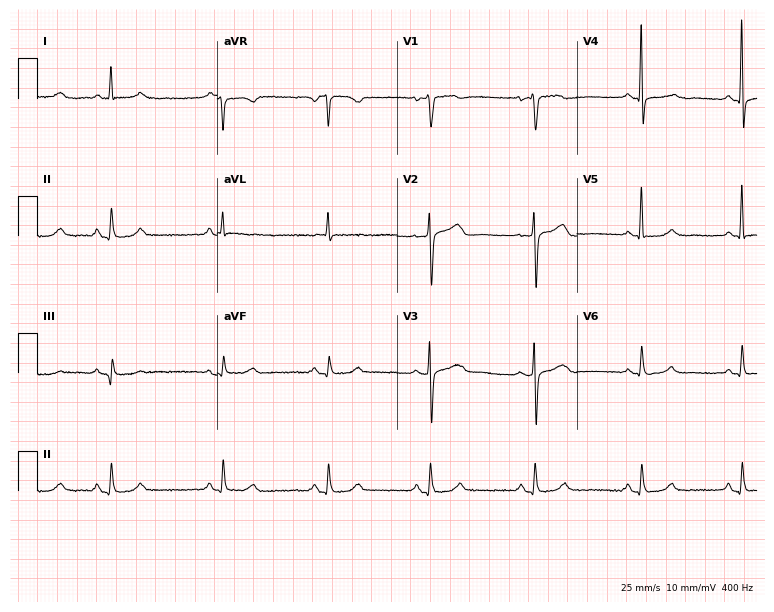
ECG — a 69-year-old woman. Screened for six findings — first-degree AV block, right bundle branch block (RBBB), left bundle branch block (LBBB), sinus bradycardia, atrial fibrillation (AF), sinus tachycardia — none is recorded.